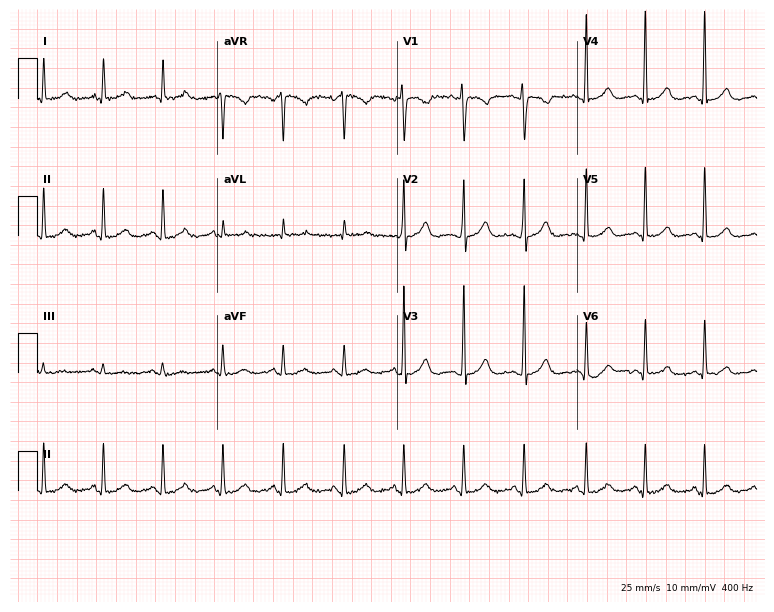
Resting 12-lead electrocardiogram. Patient: a 47-year-old female. None of these six findings is recorded: first-degree AV block, right bundle branch block, left bundle branch block, sinus bradycardia, atrial fibrillation, sinus tachycardia. Only these six findings were labelled.